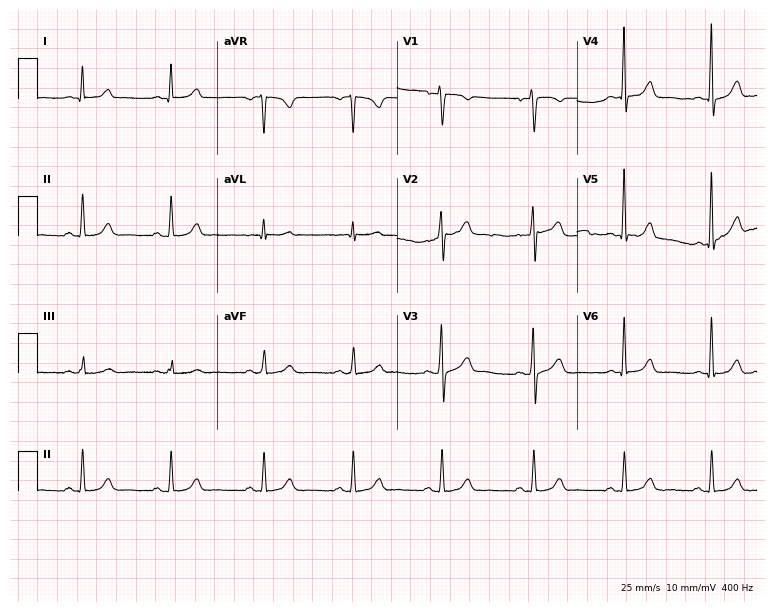
Resting 12-lead electrocardiogram. Patient: a 69-year-old man. Read as a normal ECG.